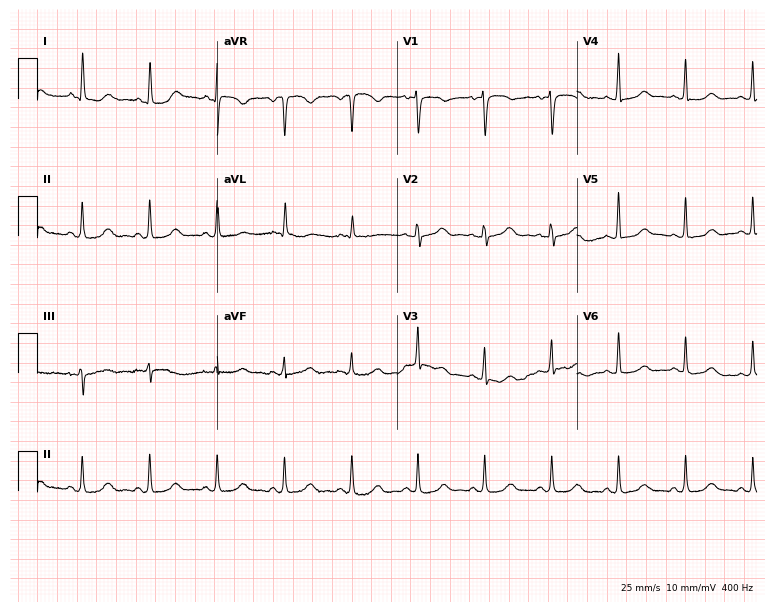
12-lead ECG from a 69-year-old female patient. Screened for six findings — first-degree AV block, right bundle branch block, left bundle branch block, sinus bradycardia, atrial fibrillation, sinus tachycardia — none is recorded.